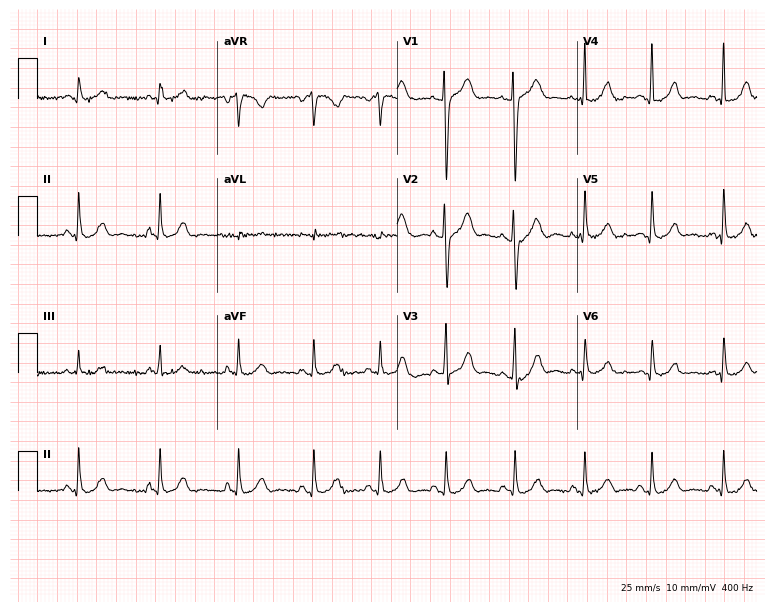
Electrocardiogram (7.3-second recording at 400 Hz), a 54-year-old man. Overall reading on record: normal ECG.